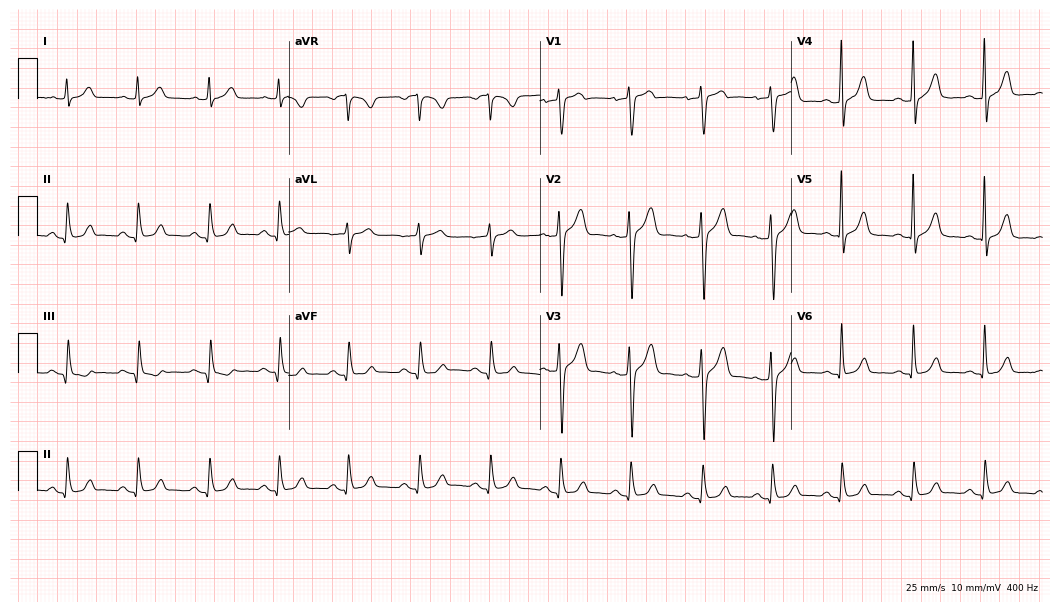
Standard 12-lead ECG recorded from a 49-year-old man (10.2-second recording at 400 Hz). Read as a normal ECG.